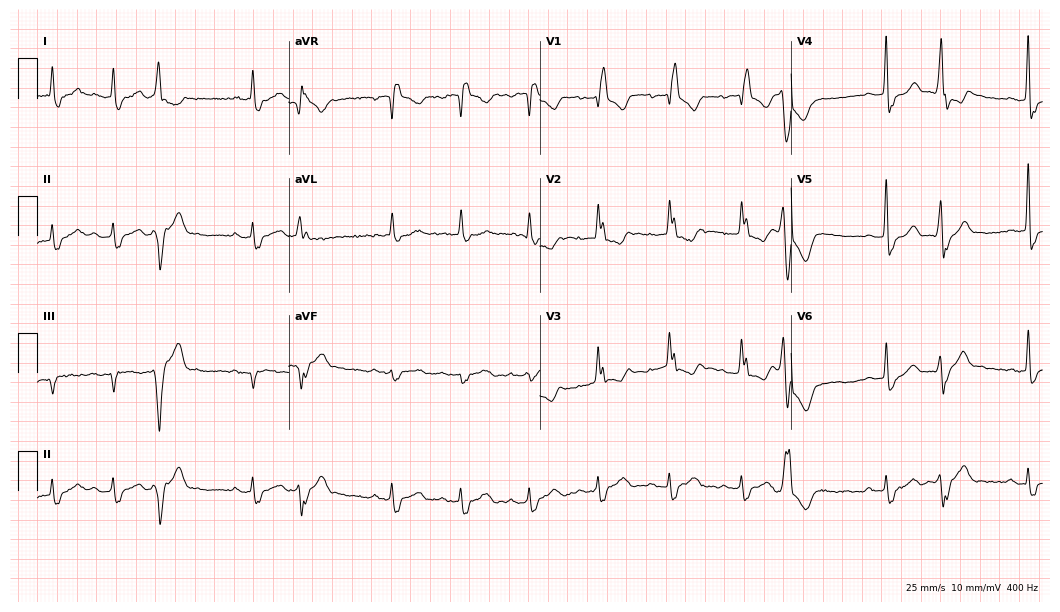
Standard 12-lead ECG recorded from a man, 79 years old. None of these six findings is recorded: first-degree AV block, right bundle branch block (RBBB), left bundle branch block (LBBB), sinus bradycardia, atrial fibrillation (AF), sinus tachycardia. Other findings, if any, are not listed.